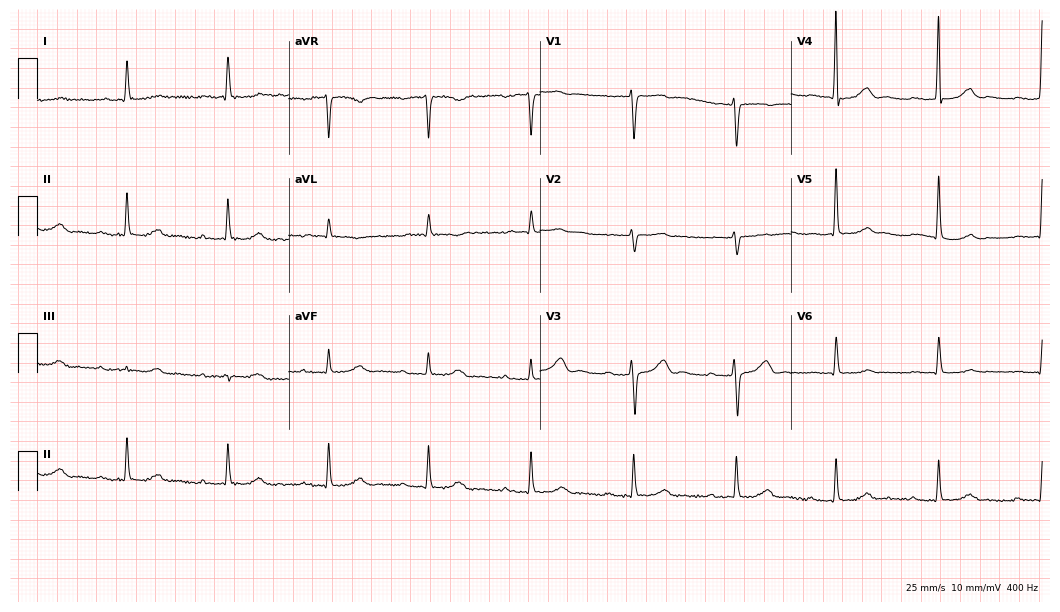
Resting 12-lead electrocardiogram (10.2-second recording at 400 Hz). Patient: an 82-year-old female. The tracing shows first-degree AV block.